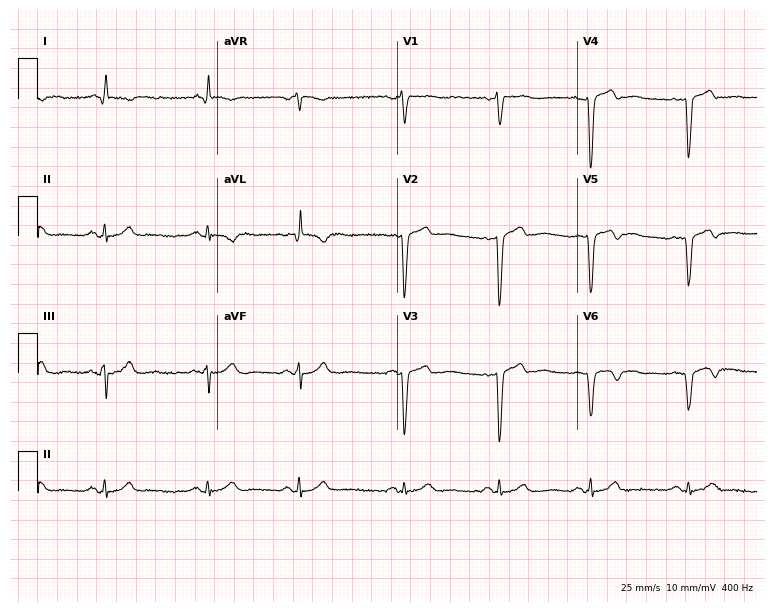
Electrocardiogram, a 70-year-old man. Of the six screened findings (first-degree AV block, right bundle branch block, left bundle branch block, sinus bradycardia, atrial fibrillation, sinus tachycardia), none is recorded.